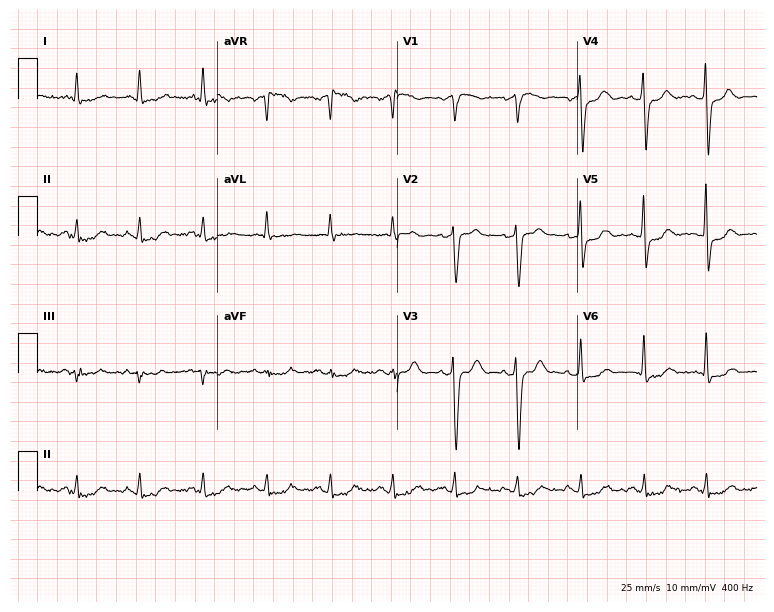
Standard 12-lead ECG recorded from an 80-year-old man. None of these six findings is recorded: first-degree AV block, right bundle branch block, left bundle branch block, sinus bradycardia, atrial fibrillation, sinus tachycardia. Other findings, if any, are not listed.